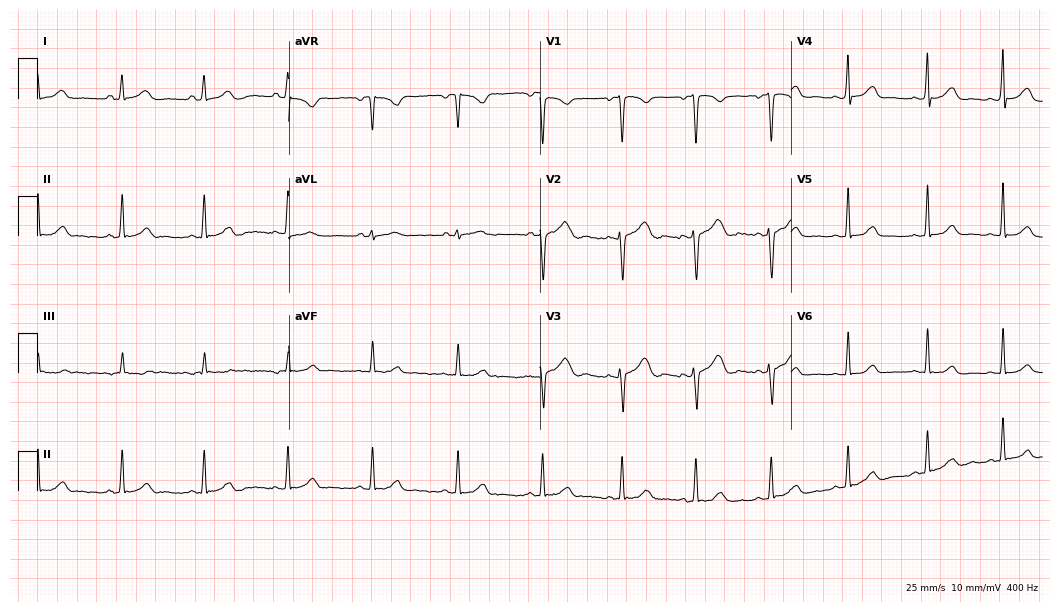
Electrocardiogram (10.2-second recording at 400 Hz), a 23-year-old woman. Overall reading on record: normal ECG.